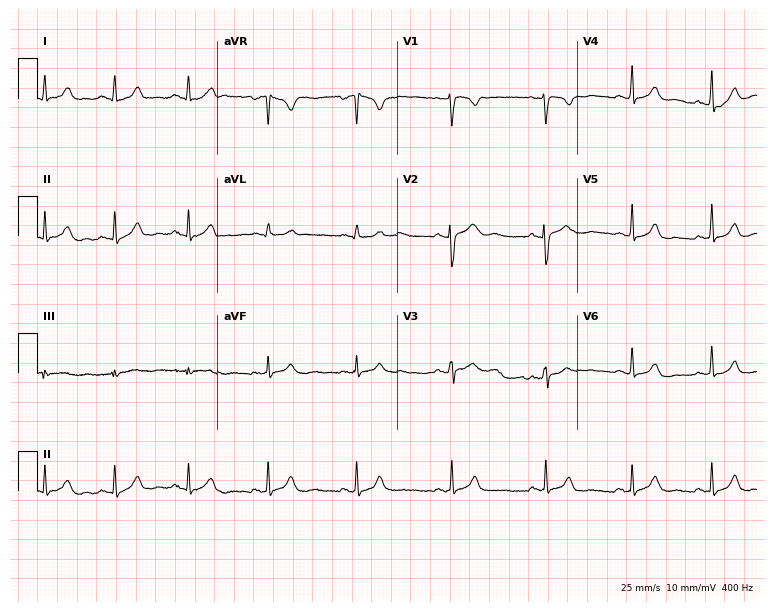
Electrocardiogram (7.3-second recording at 400 Hz), a 28-year-old female. Overall reading on record: normal ECG.